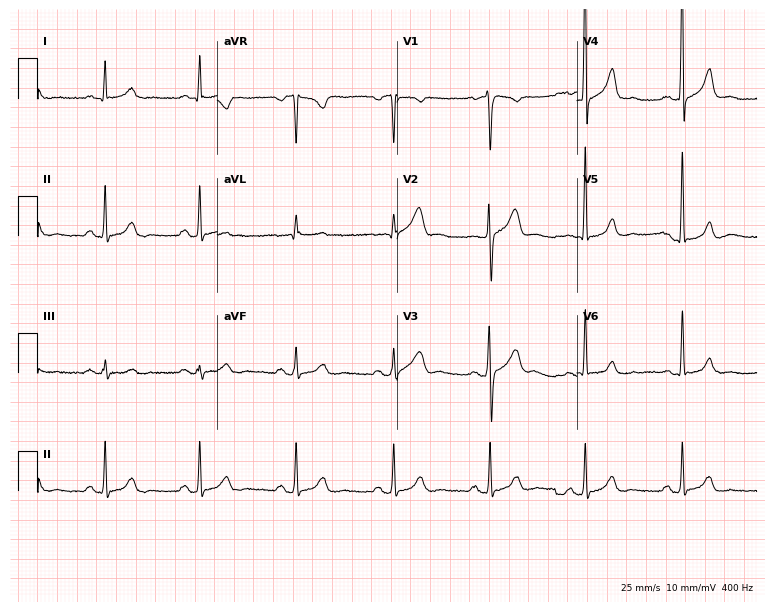
Electrocardiogram (7.3-second recording at 400 Hz), a man, 46 years old. Of the six screened findings (first-degree AV block, right bundle branch block (RBBB), left bundle branch block (LBBB), sinus bradycardia, atrial fibrillation (AF), sinus tachycardia), none is recorded.